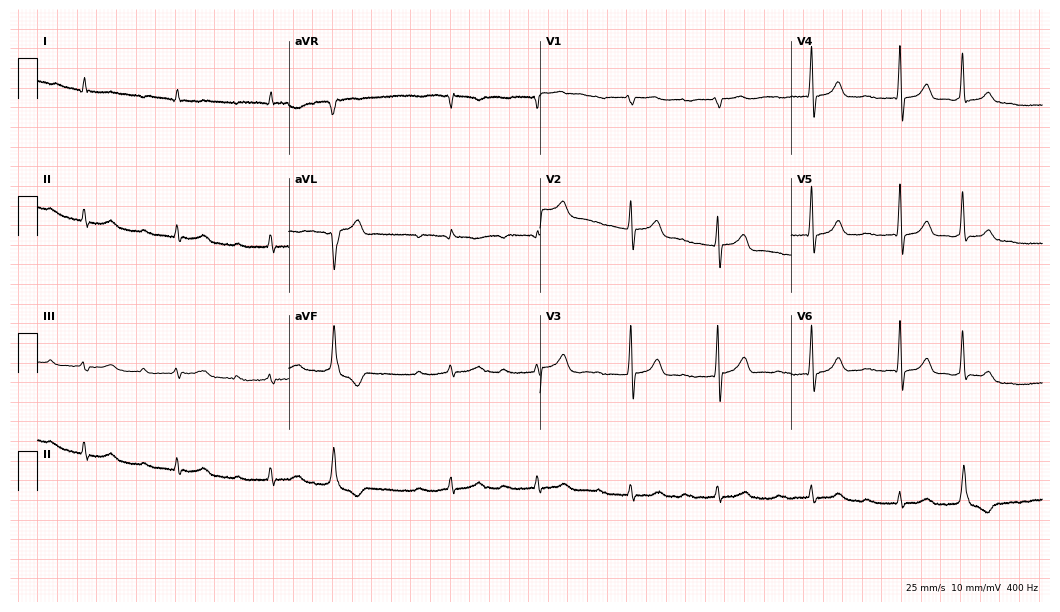
ECG (10.2-second recording at 400 Hz) — an 86-year-old man. Labelled as a normal ECG.